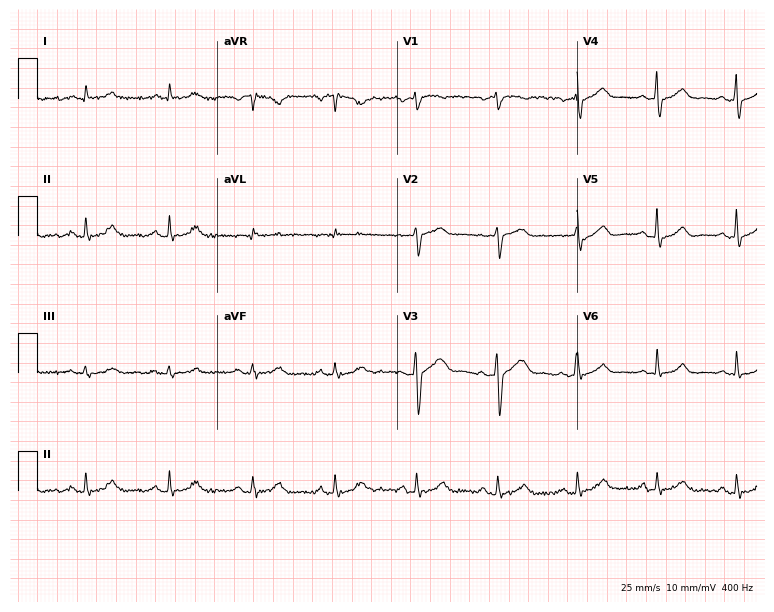
Resting 12-lead electrocardiogram (7.3-second recording at 400 Hz). Patient: a 60-year-old male. Read as a normal ECG.